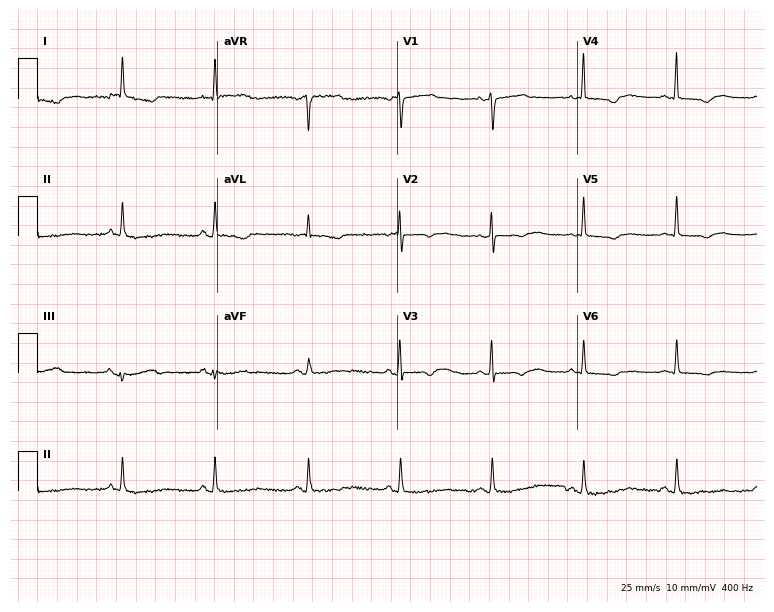
Resting 12-lead electrocardiogram (7.3-second recording at 400 Hz). Patient: a female, 76 years old. None of these six findings is recorded: first-degree AV block, right bundle branch block, left bundle branch block, sinus bradycardia, atrial fibrillation, sinus tachycardia.